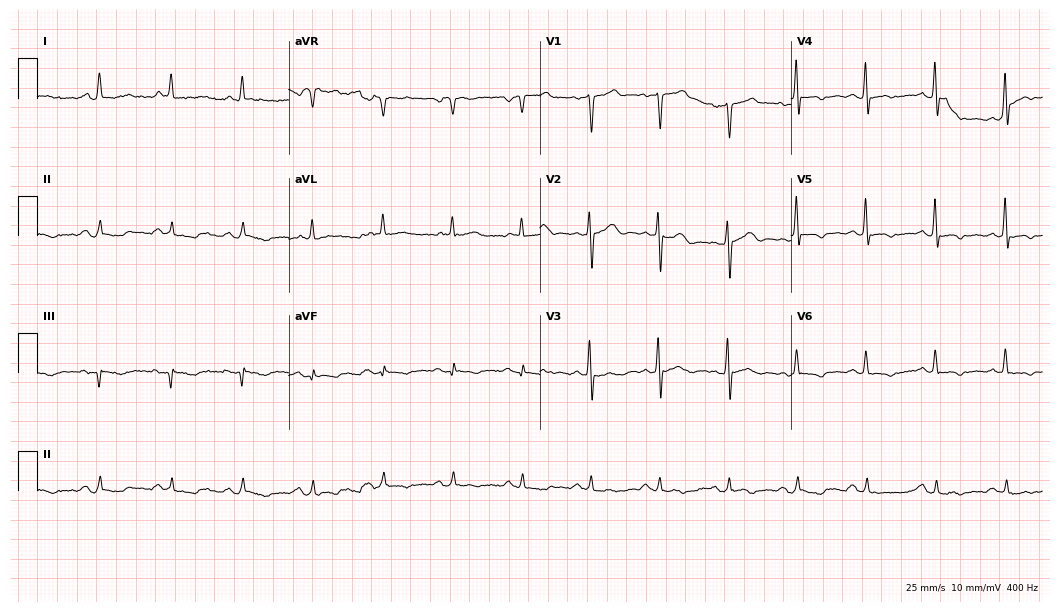
12-lead ECG from a 50-year-old man. No first-degree AV block, right bundle branch block, left bundle branch block, sinus bradycardia, atrial fibrillation or sinus tachycardia recorded for this tracing. Other findings, if any, are not listed.